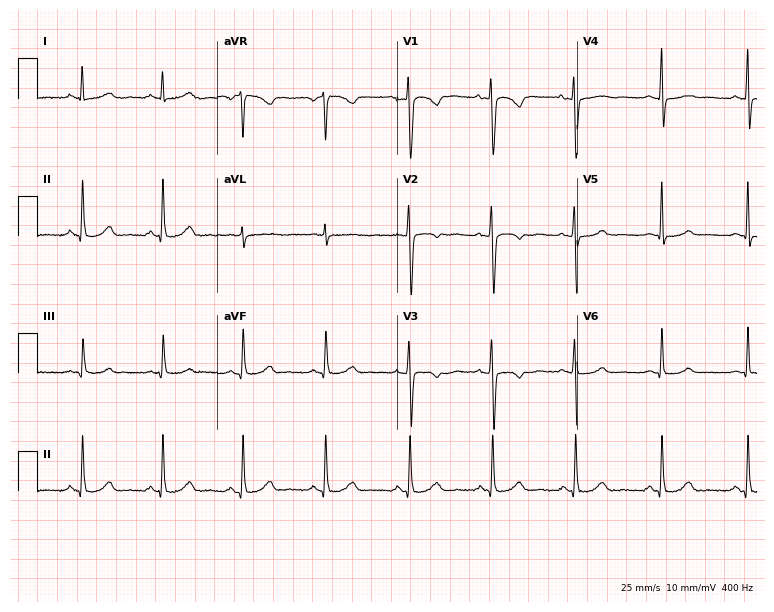
12-lead ECG from a 34-year-old female patient (7.3-second recording at 400 Hz). Recorded interpretation: within normal limits.